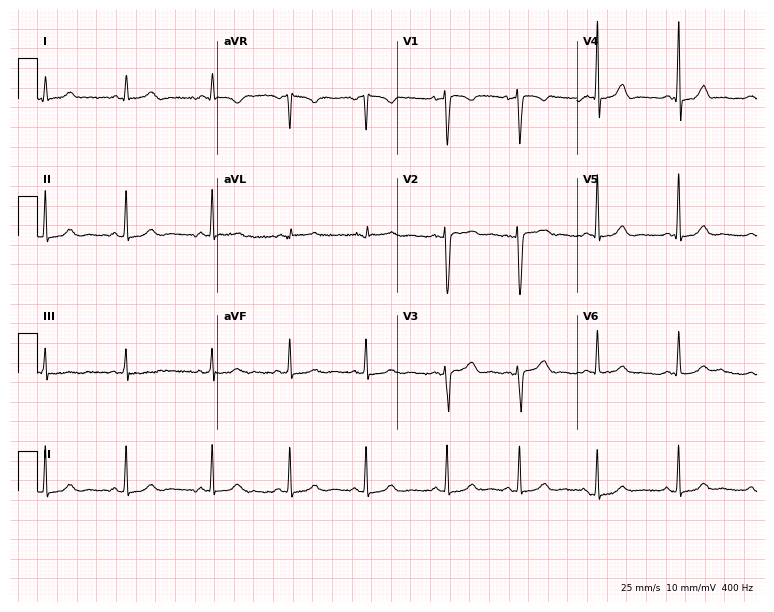
ECG — a 29-year-old woman. Labelled as a normal ECG.